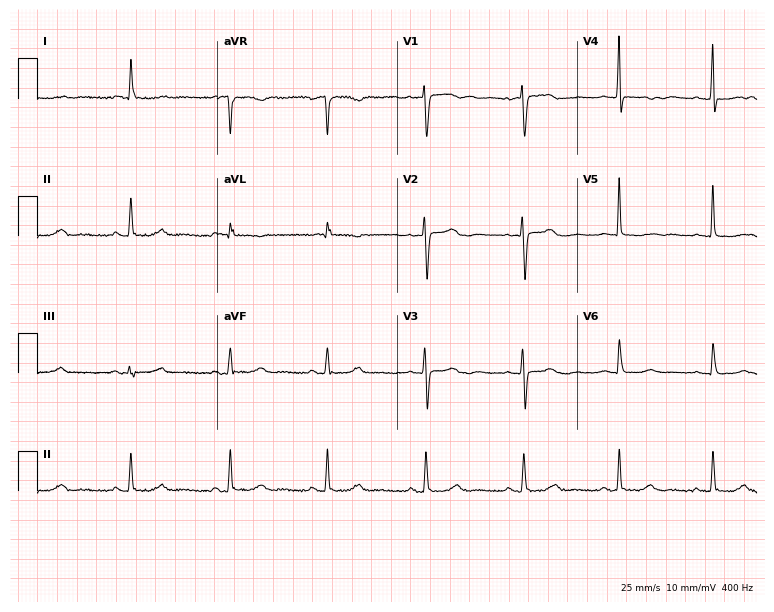
Electrocardiogram (7.3-second recording at 400 Hz), a 78-year-old female patient. Of the six screened findings (first-degree AV block, right bundle branch block (RBBB), left bundle branch block (LBBB), sinus bradycardia, atrial fibrillation (AF), sinus tachycardia), none is recorded.